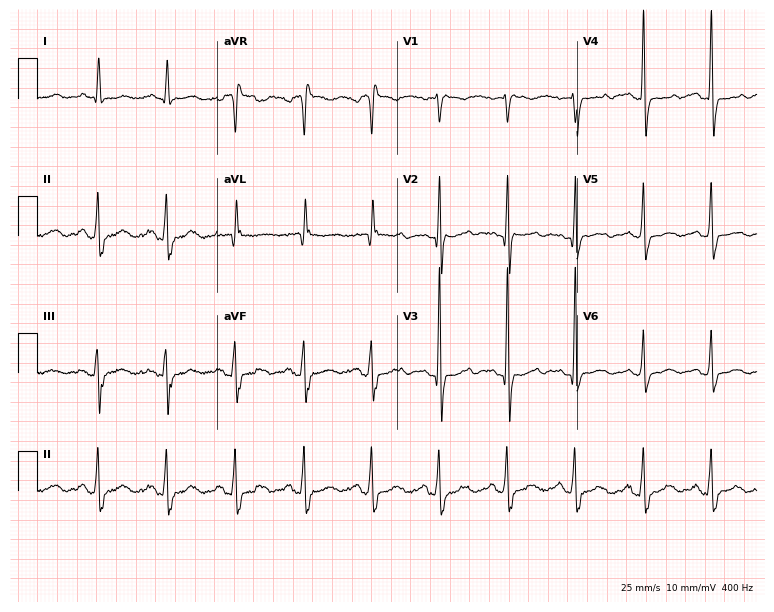
ECG — a 52-year-old female. Screened for six findings — first-degree AV block, right bundle branch block, left bundle branch block, sinus bradycardia, atrial fibrillation, sinus tachycardia — none is recorded.